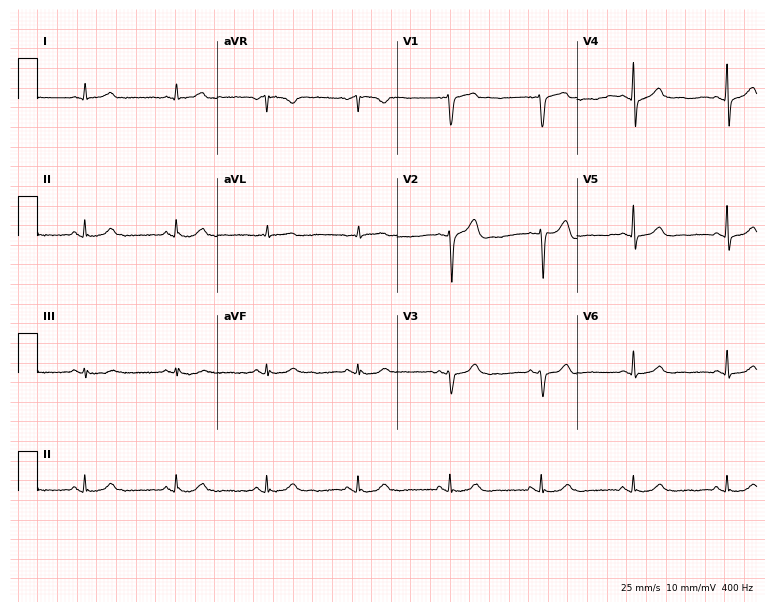
Resting 12-lead electrocardiogram. Patient: a 65-year-old man. Read as a normal ECG.